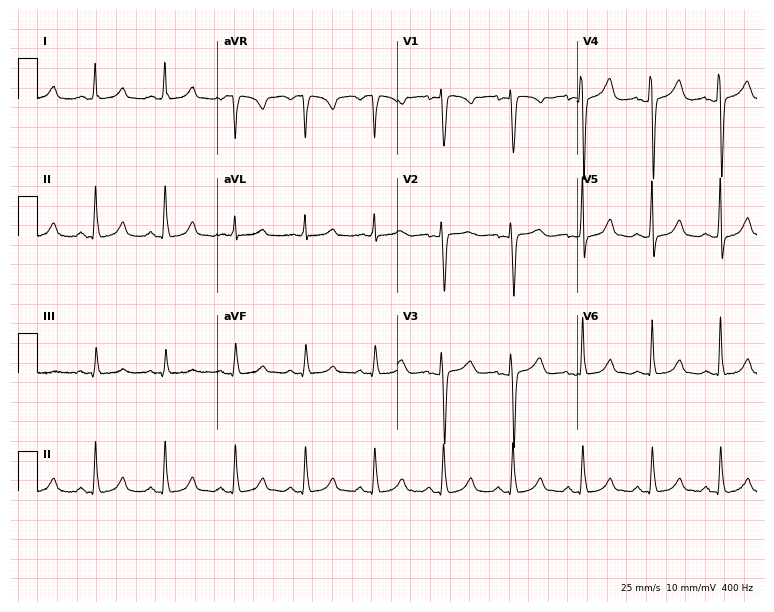
12-lead ECG from a 50-year-old female. Labelled as a normal ECG.